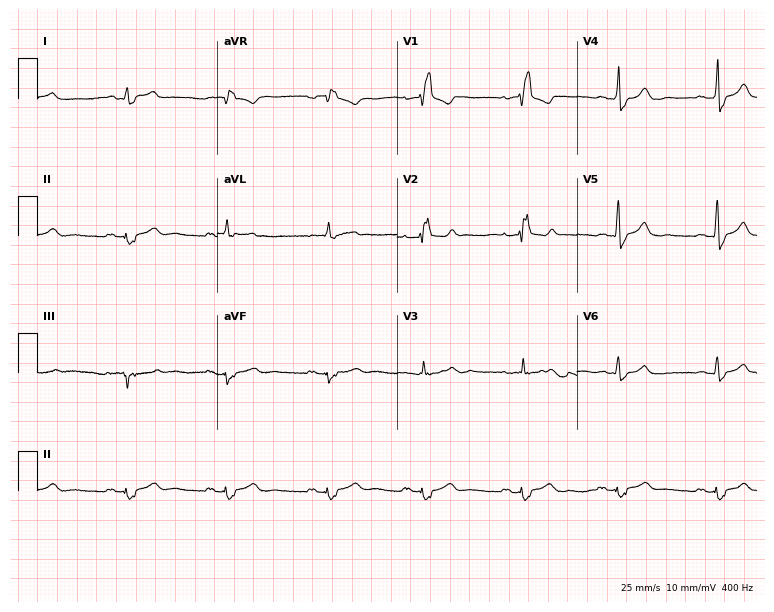
Resting 12-lead electrocardiogram (7.3-second recording at 400 Hz). Patient: a male, 53 years old. The tracing shows right bundle branch block.